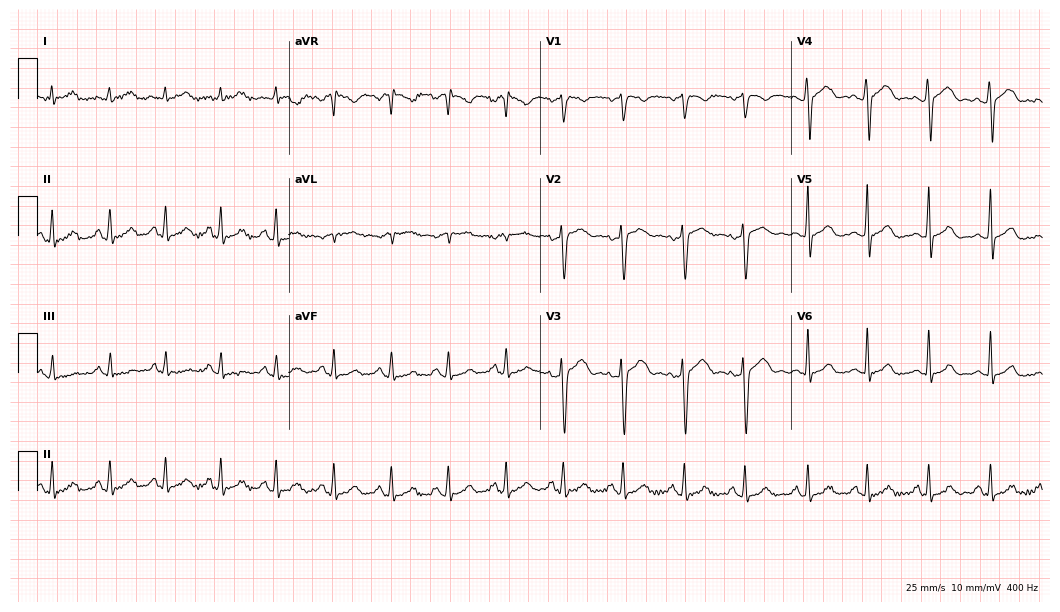
ECG (10.2-second recording at 400 Hz) — a 27-year-old woman. Findings include sinus tachycardia (a sinus rate of 100 beats per minute or more).